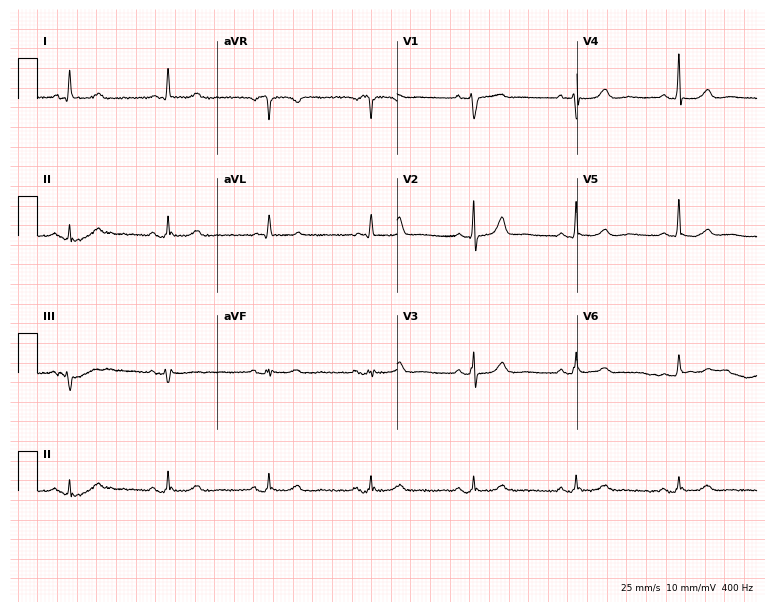
Standard 12-lead ECG recorded from a female patient, 73 years old (7.3-second recording at 400 Hz). Read as a normal ECG.